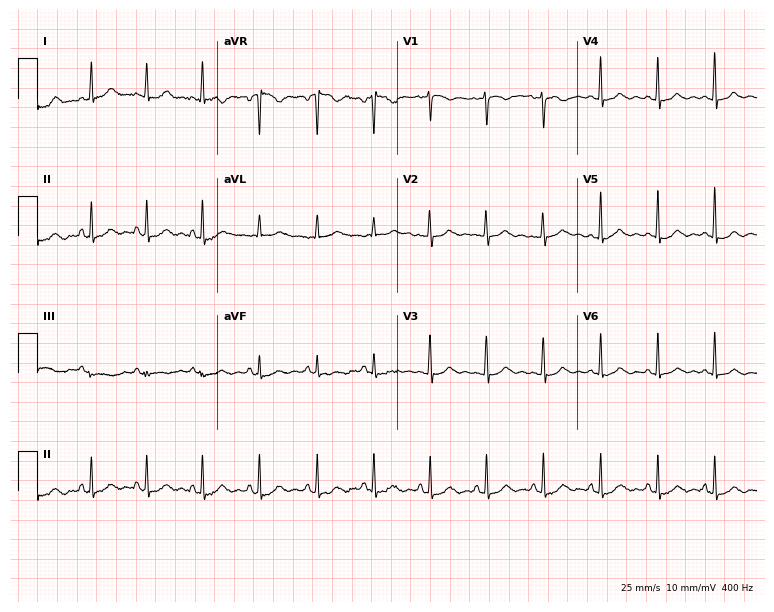
Resting 12-lead electrocardiogram. Patient: a 37-year-old female. The tracing shows sinus tachycardia (a sinus rate of 100 beats per minute or more).